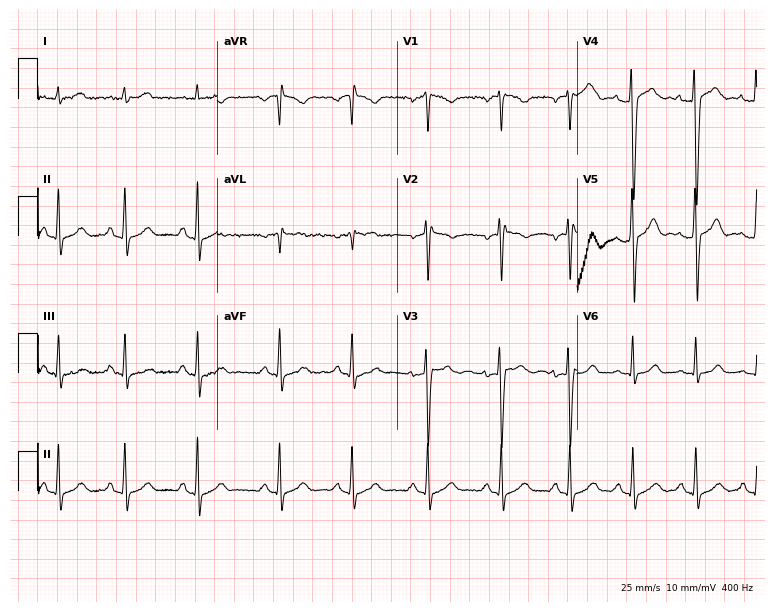
ECG (7.3-second recording at 400 Hz) — a male patient, 22 years old. Screened for six findings — first-degree AV block, right bundle branch block (RBBB), left bundle branch block (LBBB), sinus bradycardia, atrial fibrillation (AF), sinus tachycardia — none is recorded.